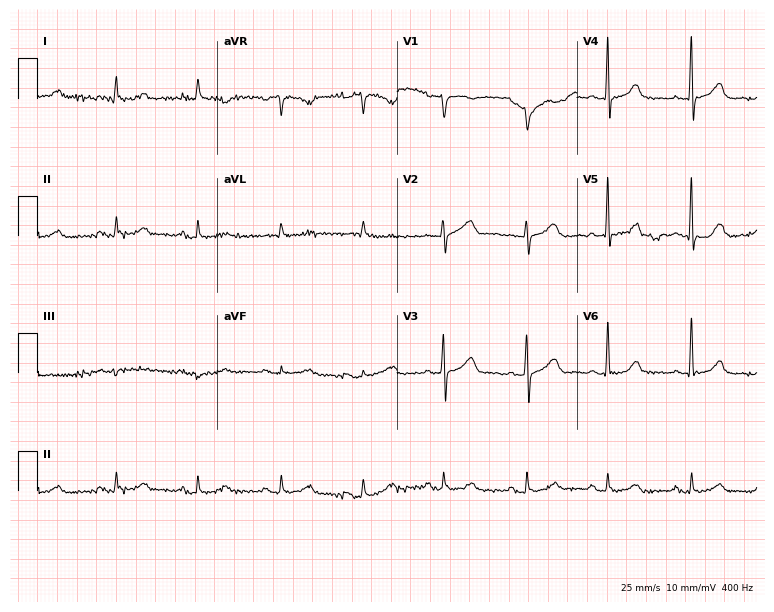
Resting 12-lead electrocardiogram (7.3-second recording at 400 Hz). Patient: a 70-year-old female. Read as a normal ECG.